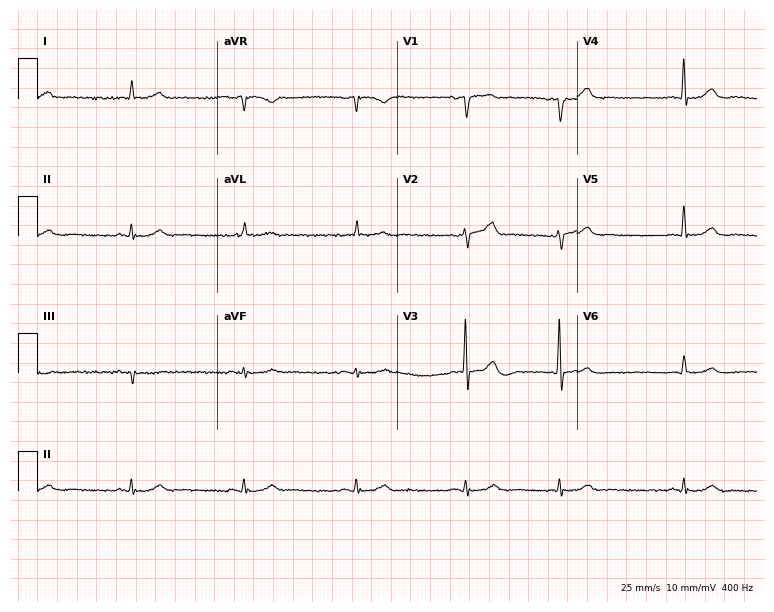
12-lead ECG (7.3-second recording at 400 Hz) from a male patient, 85 years old. Screened for six findings — first-degree AV block, right bundle branch block, left bundle branch block, sinus bradycardia, atrial fibrillation, sinus tachycardia — none is recorded.